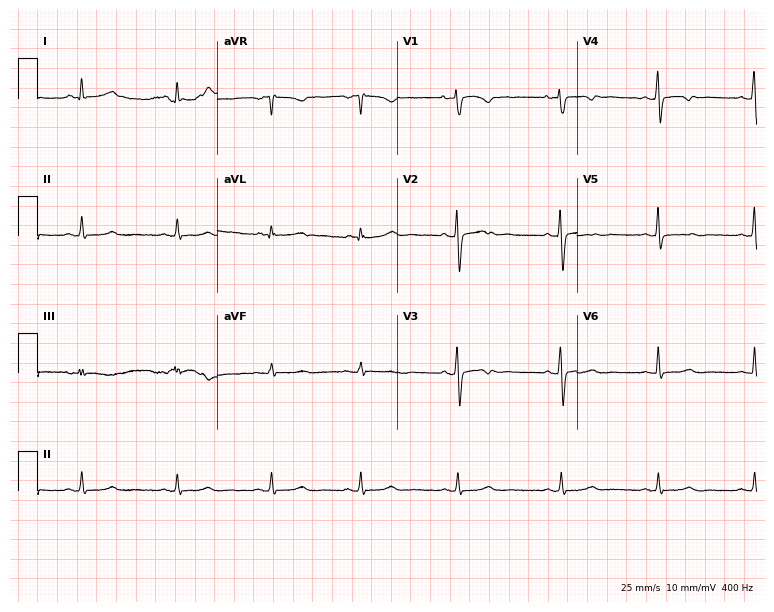
12-lead ECG from a woman, 42 years old. Screened for six findings — first-degree AV block, right bundle branch block, left bundle branch block, sinus bradycardia, atrial fibrillation, sinus tachycardia — none is recorded.